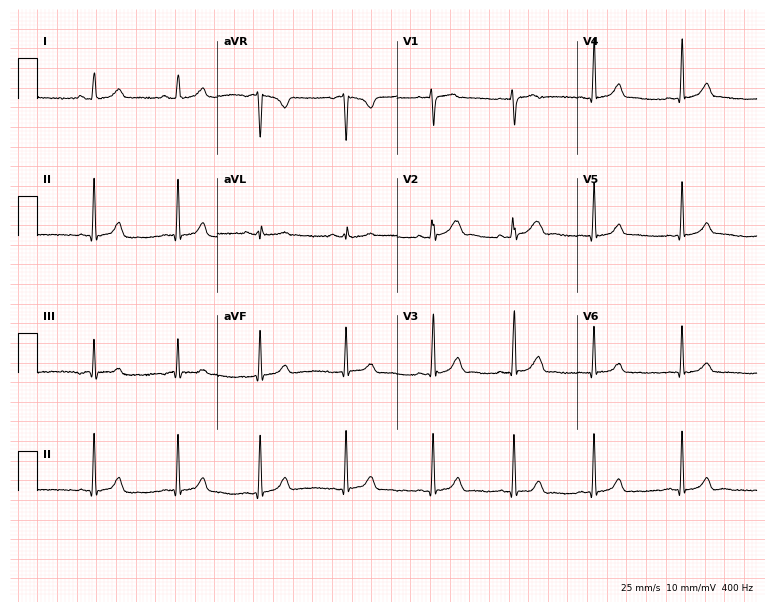
Resting 12-lead electrocardiogram (7.3-second recording at 400 Hz). Patient: a 25-year-old woman. Read as a normal ECG.